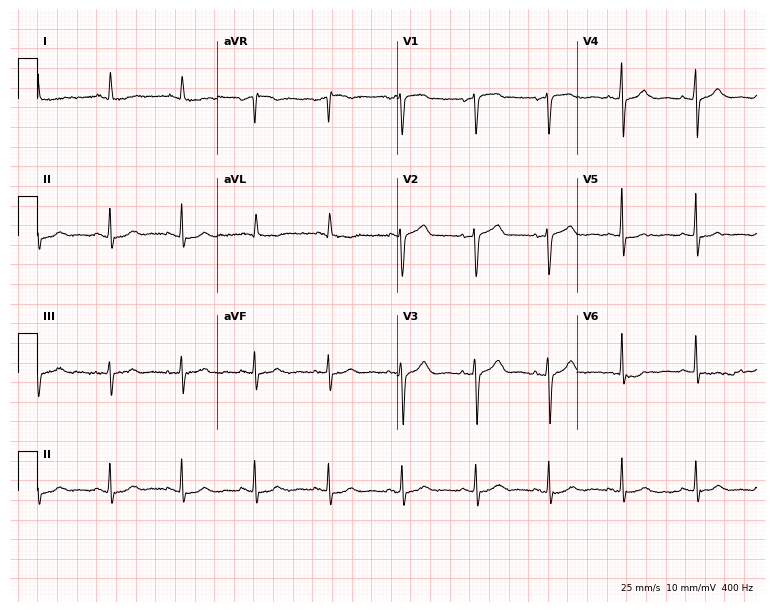
12-lead ECG (7.3-second recording at 400 Hz) from a 77-year-old man. Screened for six findings — first-degree AV block, right bundle branch block, left bundle branch block, sinus bradycardia, atrial fibrillation, sinus tachycardia — none is recorded.